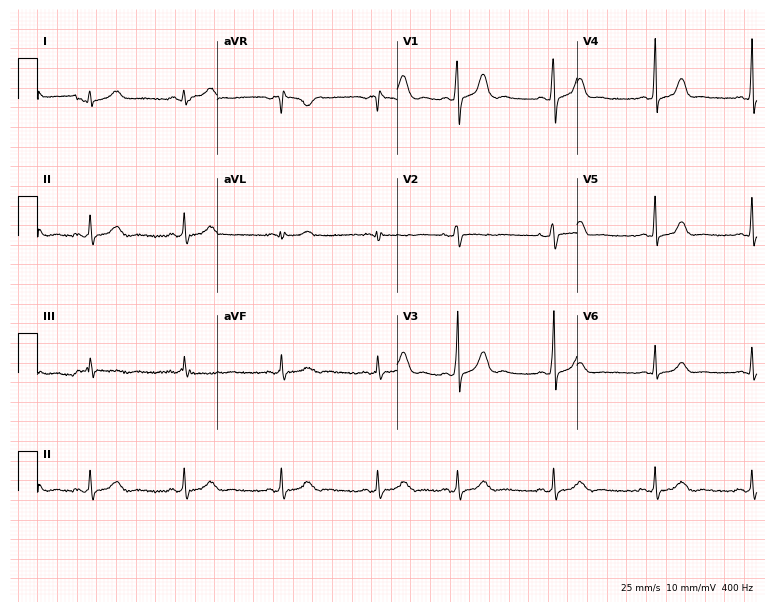
12-lead ECG (7.3-second recording at 400 Hz) from a female, 20 years old. Labelled as a normal ECG.